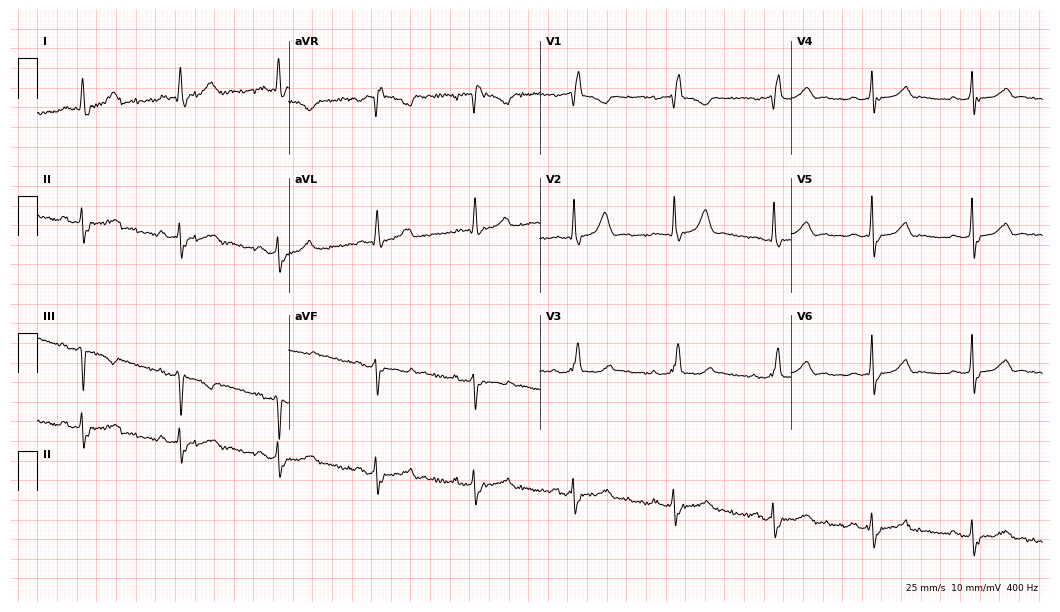
Resting 12-lead electrocardiogram (10.2-second recording at 400 Hz). Patient: a 77-year-old woman. The tracing shows right bundle branch block.